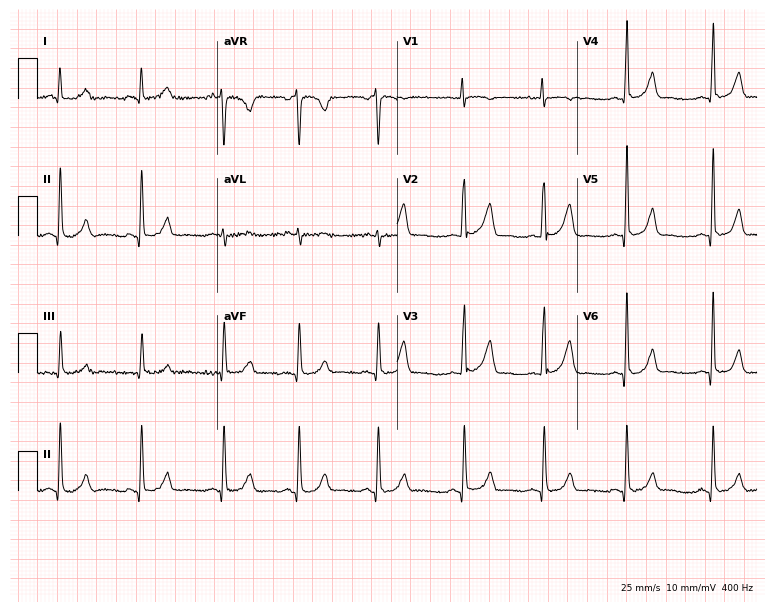
Electrocardiogram, a 38-year-old female. Of the six screened findings (first-degree AV block, right bundle branch block, left bundle branch block, sinus bradycardia, atrial fibrillation, sinus tachycardia), none is recorded.